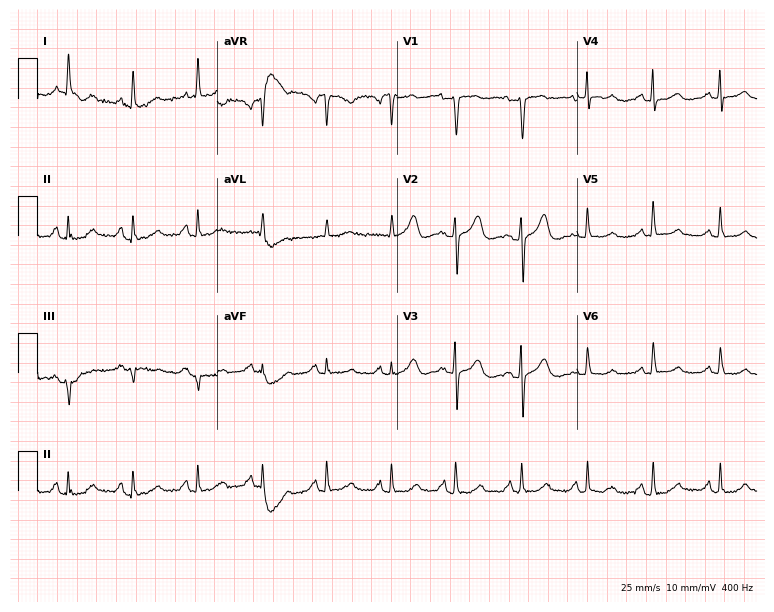
Resting 12-lead electrocardiogram (7.3-second recording at 400 Hz). Patient: a 70-year-old woman. Read as a normal ECG.